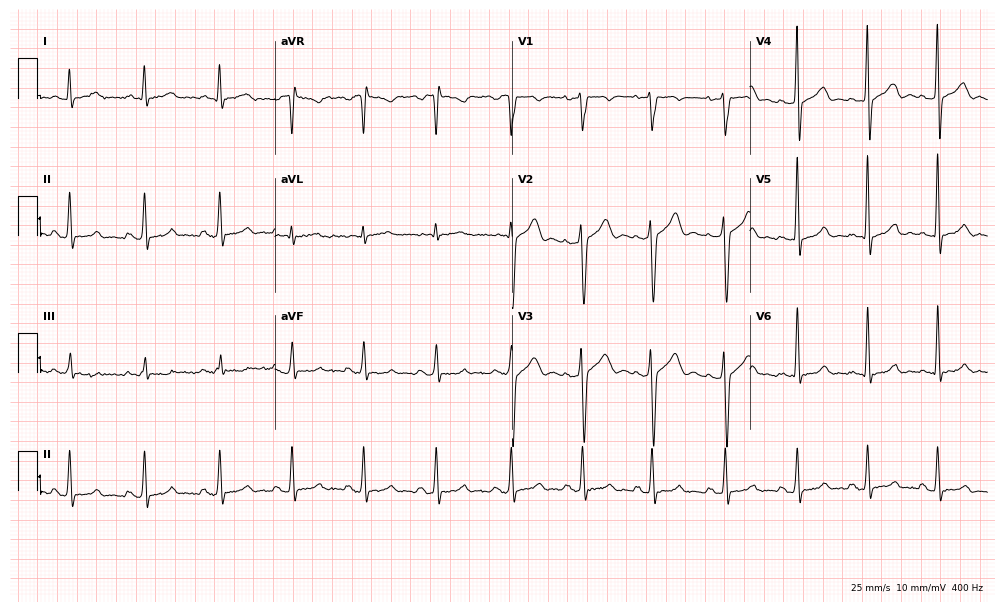
Standard 12-lead ECG recorded from a 28-year-old man. None of these six findings is recorded: first-degree AV block, right bundle branch block, left bundle branch block, sinus bradycardia, atrial fibrillation, sinus tachycardia.